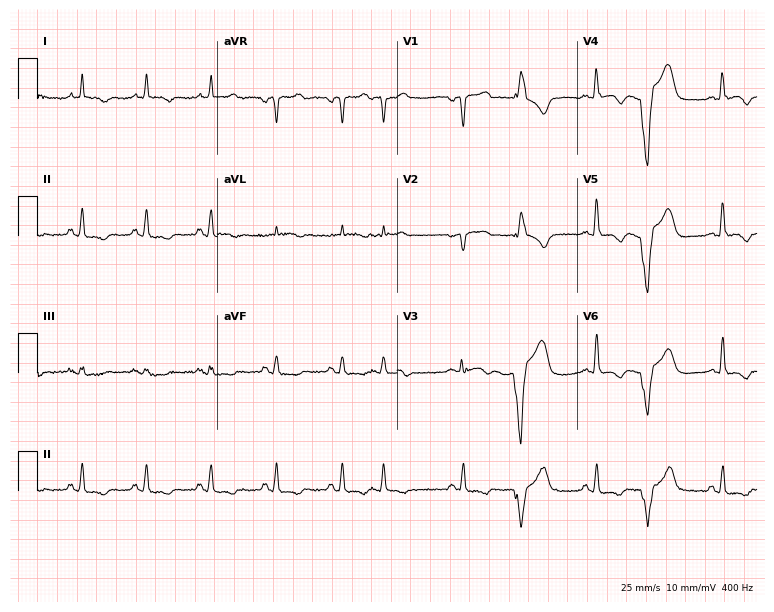
Resting 12-lead electrocardiogram. Patient: a male, 75 years old. None of these six findings is recorded: first-degree AV block, right bundle branch block, left bundle branch block, sinus bradycardia, atrial fibrillation, sinus tachycardia. Only these six findings were labelled.